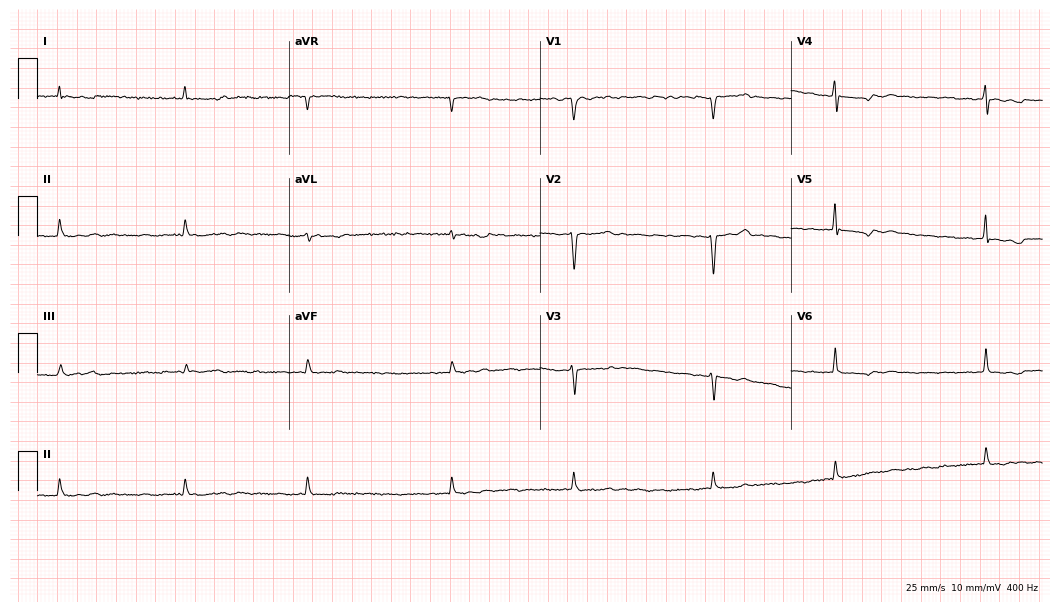
Resting 12-lead electrocardiogram (10.2-second recording at 400 Hz). Patient: a woman, 41 years old. The tracing shows atrial fibrillation.